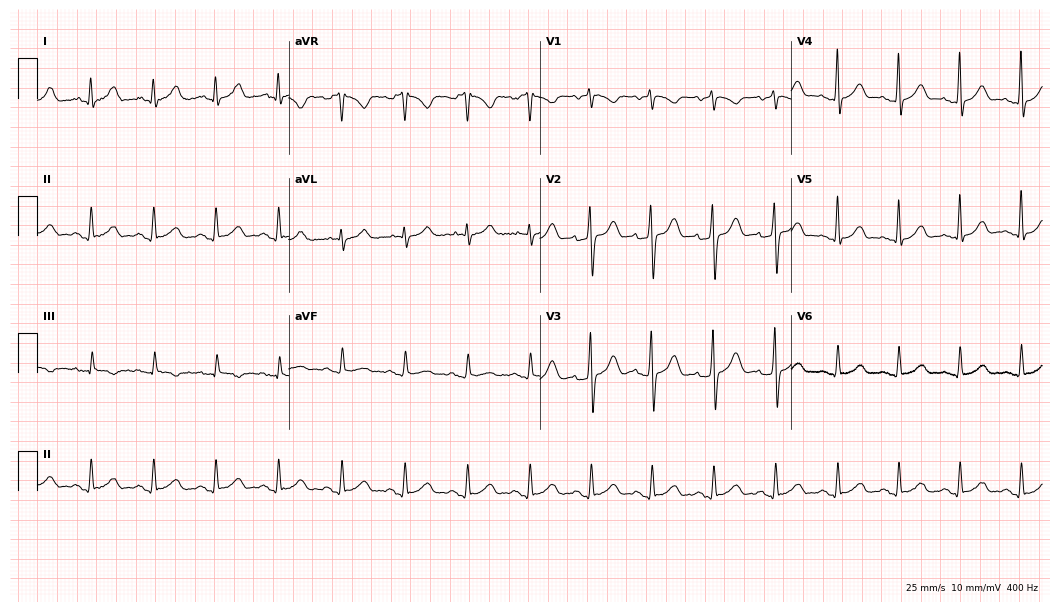
ECG (10.2-second recording at 400 Hz) — a 44-year-old male patient. Labelled as a normal ECG.